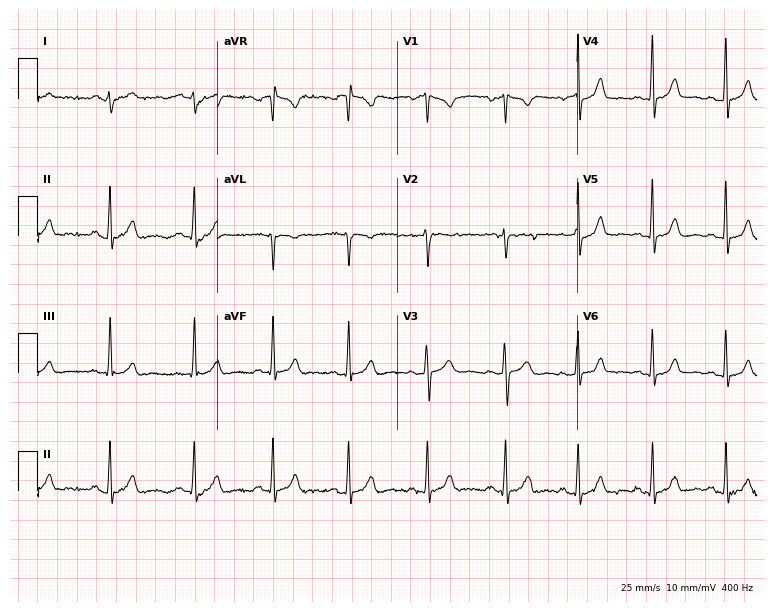
Electrocardiogram (7.3-second recording at 400 Hz), a woman, 18 years old. Of the six screened findings (first-degree AV block, right bundle branch block, left bundle branch block, sinus bradycardia, atrial fibrillation, sinus tachycardia), none is recorded. Only these six findings were labelled.